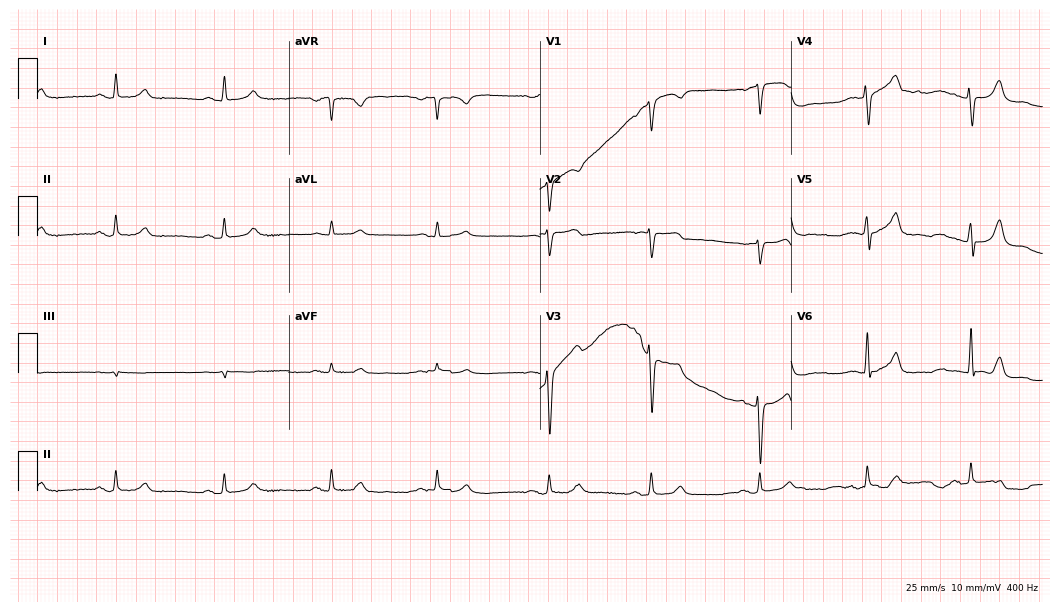
ECG — a female, 78 years old. Labelled as a normal ECG.